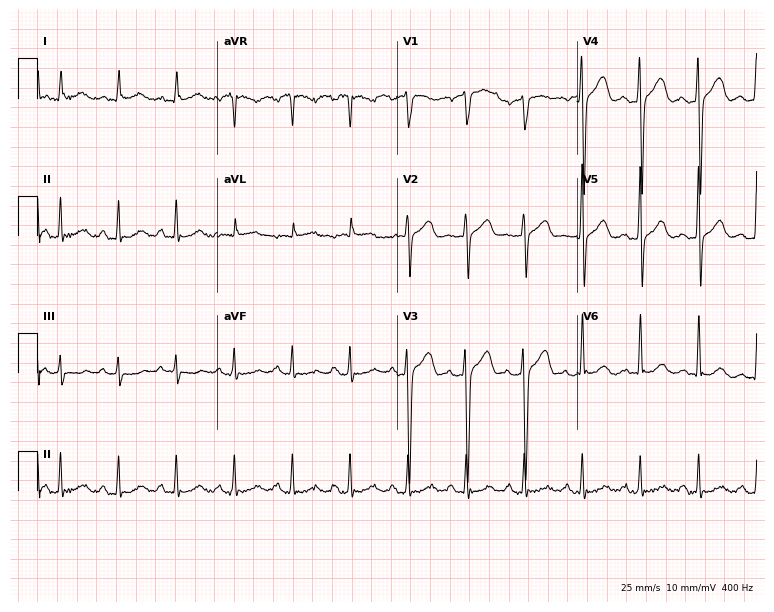
12-lead ECG from a male patient, 69 years old. Screened for six findings — first-degree AV block, right bundle branch block, left bundle branch block, sinus bradycardia, atrial fibrillation, sinus tachycardia — none is recorded.